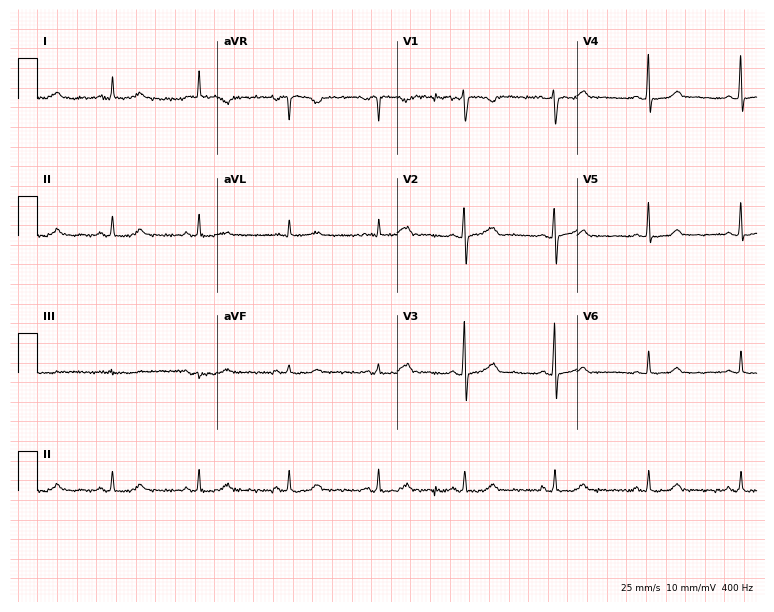
Standard 12-lead ECG recorded from a female patient, 28 years old (7.3-second recording at 400 Hz). Read as a normal ECG.